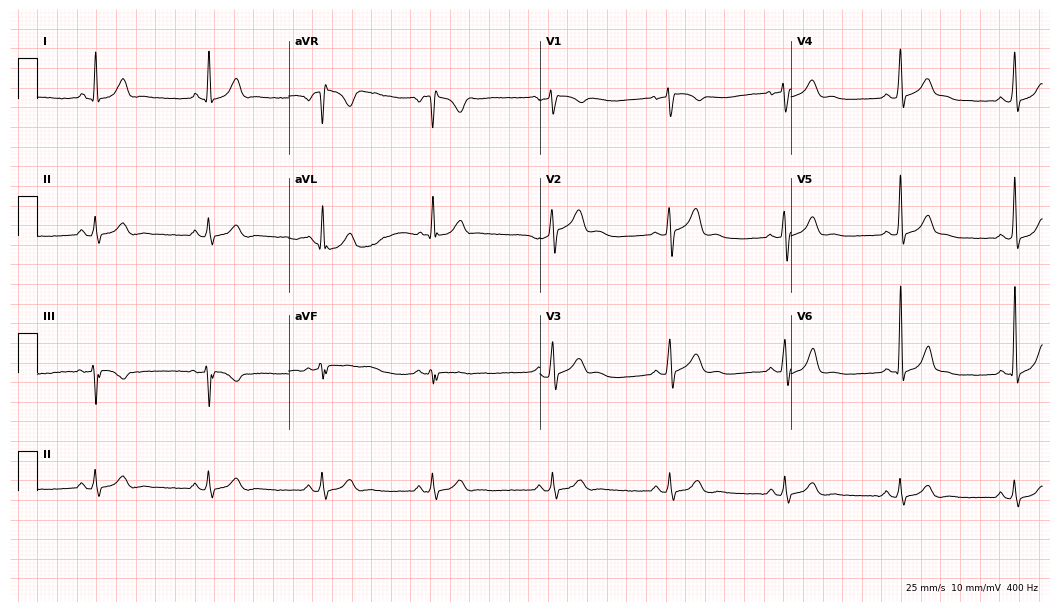
Standard 12-lead ECG recorded from a male, 38 years old (10.2-second recording at 400 Hz). Read as a normal ECG.